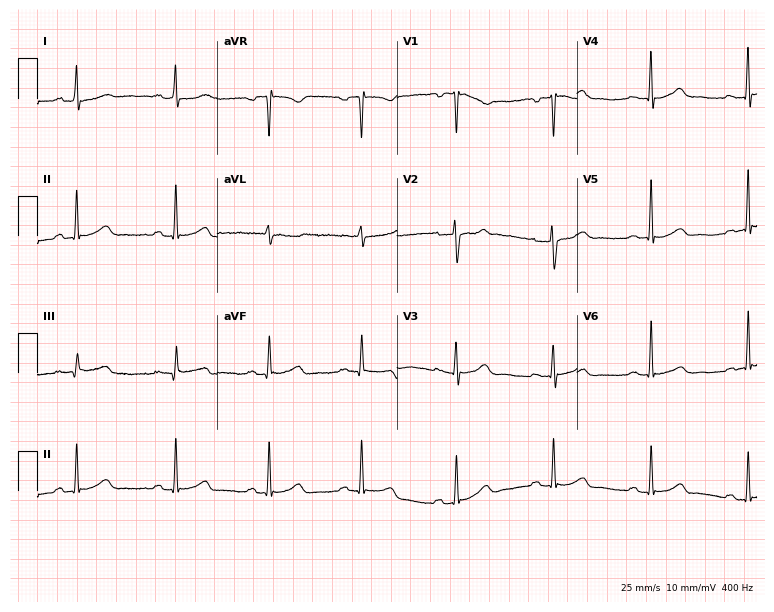
12-lead ECG from a woman, 46 years old. Recorded interpretation: within normal limits.